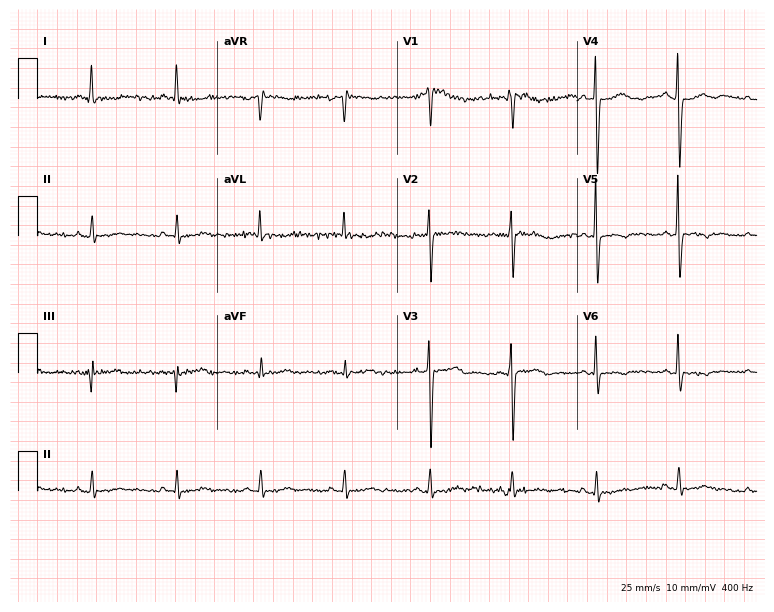
Resting 12-lead electrocardiogram. Patient: a 54-year-old woman. None of these six findings is recorded: first-degree AV block, right bundle branch block, left bundle branch block, sinus bradycardia, atrial fibrillation, sinus tachycardia. Other findings, if any, are not listed.